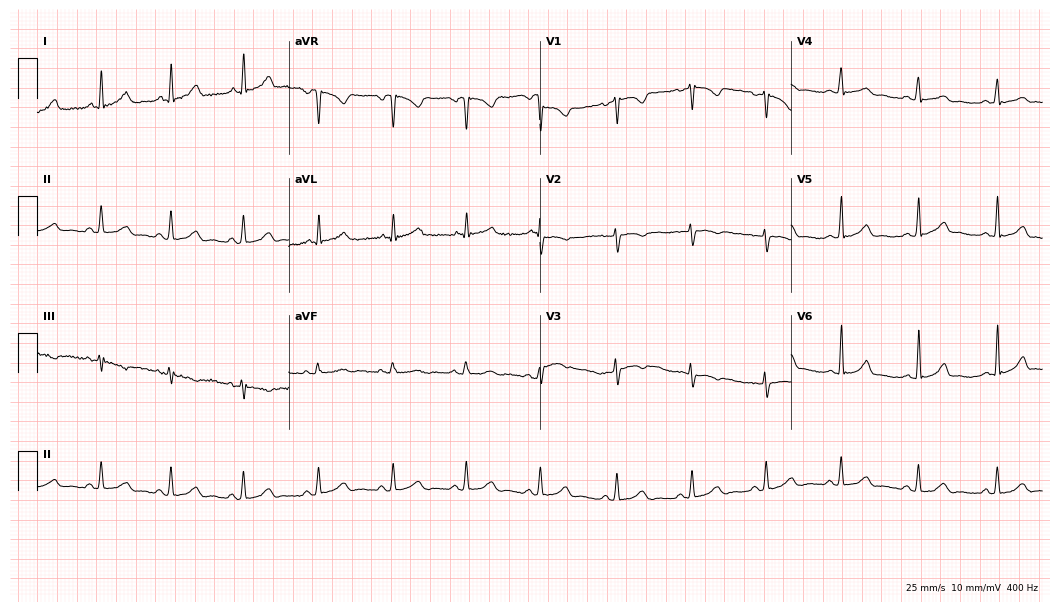
Resting 12-lead electrocardiogram. Patient: a woman, 35 years old. None of these six findings is recorded: first-degree AV block, right bundle branch block (RBBB), left bundle branch block (LBBB), sinus bradycardia, atrial fibrillation (AF), sinus tachycardia.